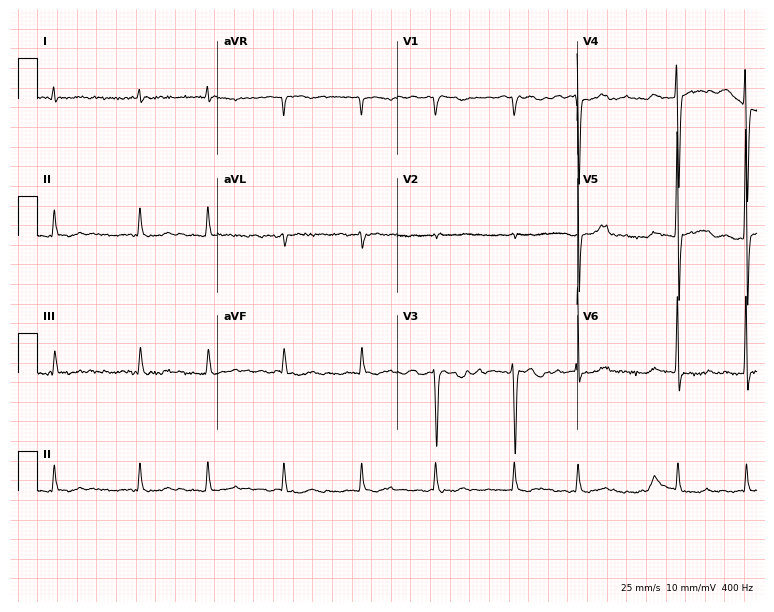
Resting 12-lead electrocardiogram. Patient: a 75-year-old woman. The tracing shows atrial fibrillation.